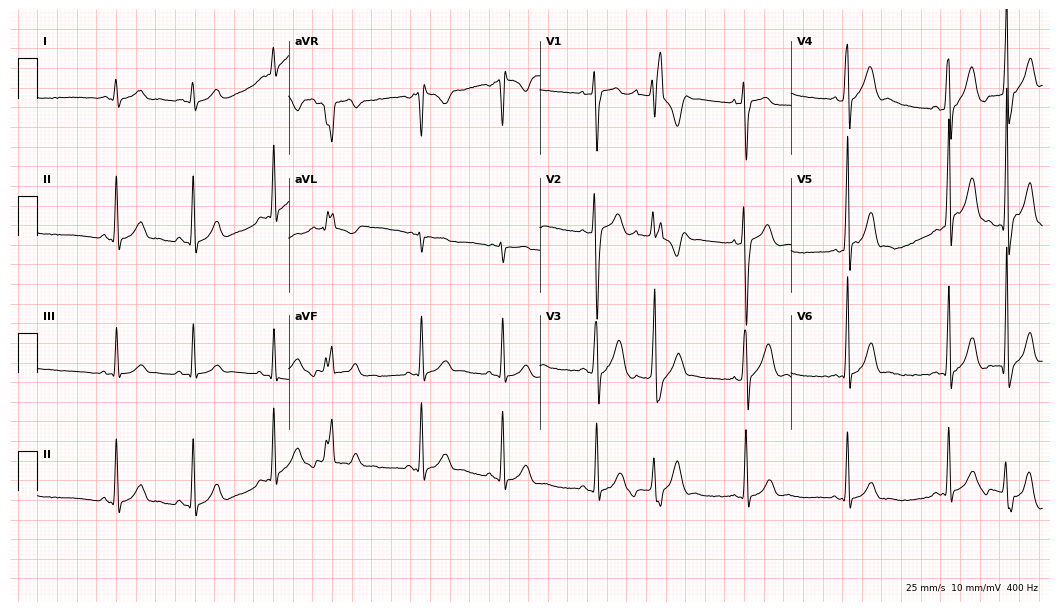
ECG (10.2-second recording at 400 Hz) — a male patient, 18 years old. Screened for six findings — first-degree AV block, right bundle branch block, left bundle branch block, sinus bradycardia, atrial fibrillation, sinus tachycardia — none is recorded. Other findings, if any, are not listed.